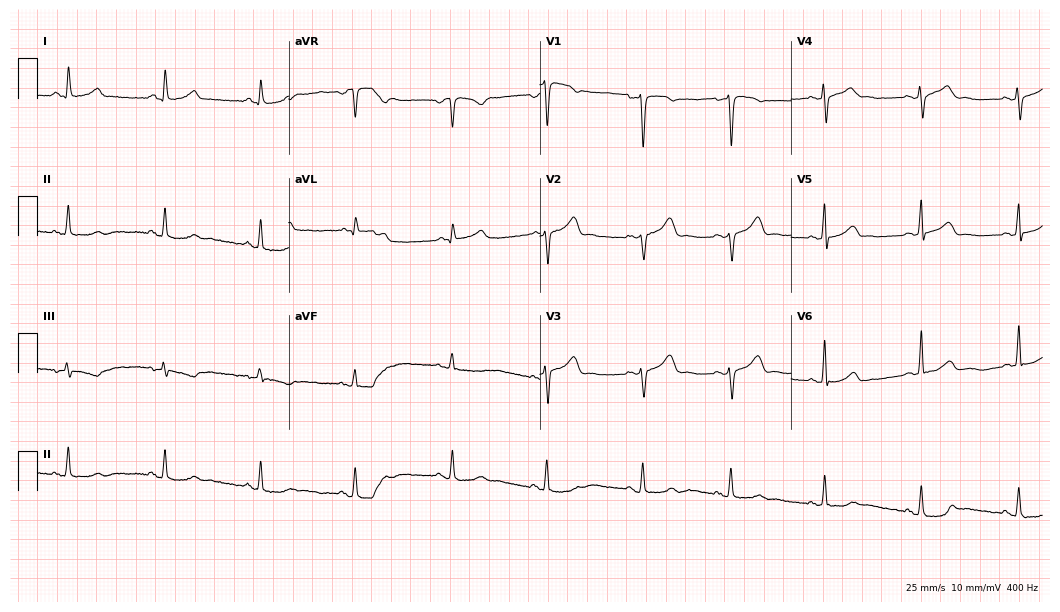
Standard 12-lead ECG recorded from a 47-year-old female patient (10.2-second recording at 400 Hz). None of these six findings is recorded: first-degree AV block, right bundle branch block, left bundle branch block, sinus bradycardia, atrial fibrillation, sinus tachycardia.